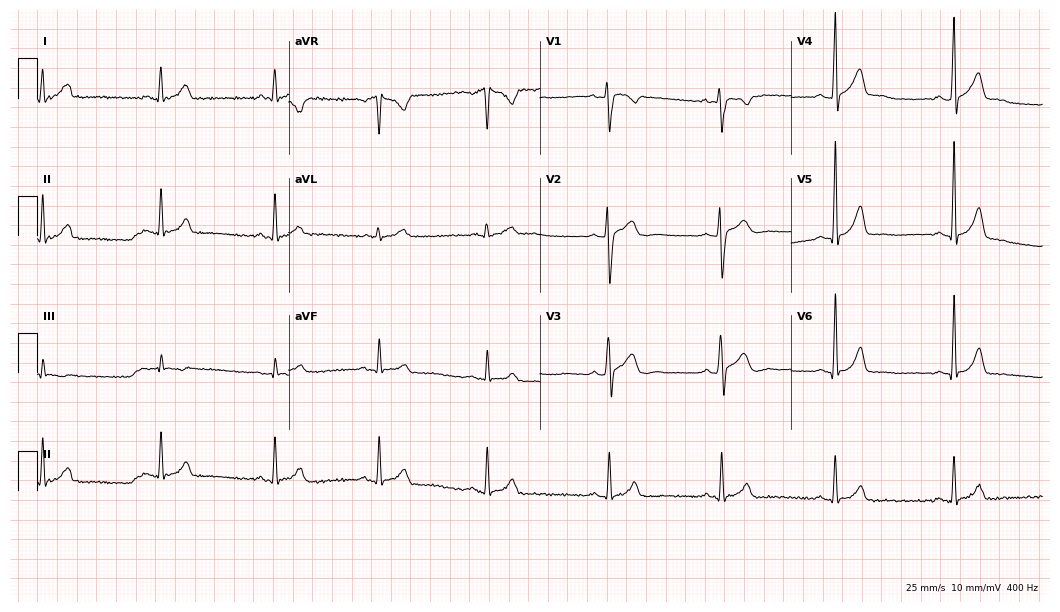
Standard 12-lead ECG recorded from a 21-year-old male patient. Read as a normal ECG.